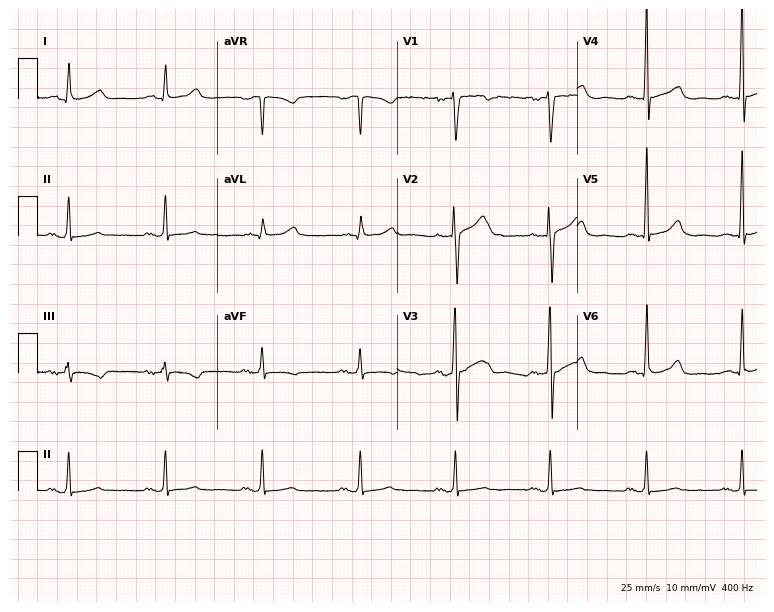
12-lead ECG from a 55-year-old male (7.3-second recording at 400 Hz). No first-degree AV block, right bundle branch block (RBBB), left bundle branch block (LBBB), sinus bradycardia, atrial fibrillation (AF) or sinus tachycardia recorded for this tracing.